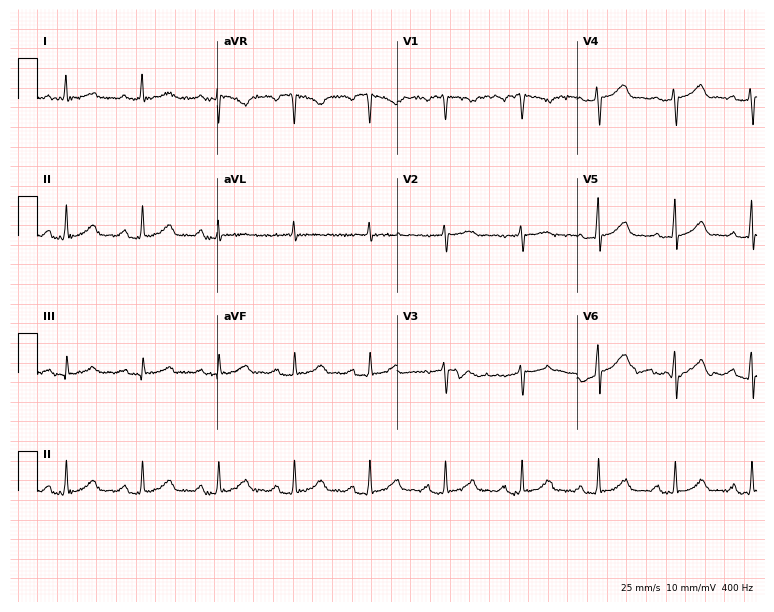
Electrocardiogram, a woman, 56 years old. Overall reading on record: normal ECG.